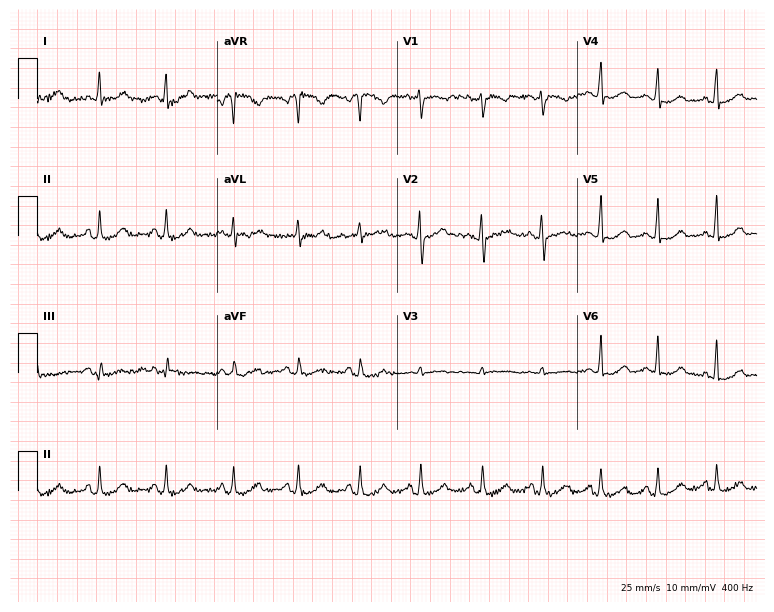
Electrocardiogram (7.3-second recording at 400 Hz), a woman, 36 years old. Of the six screened findings (first-degree AV block, right bundle branch block, left bundle branch block, sinus bradycardia, atrial fibrillation, sinus tachycardia), none is recorded.